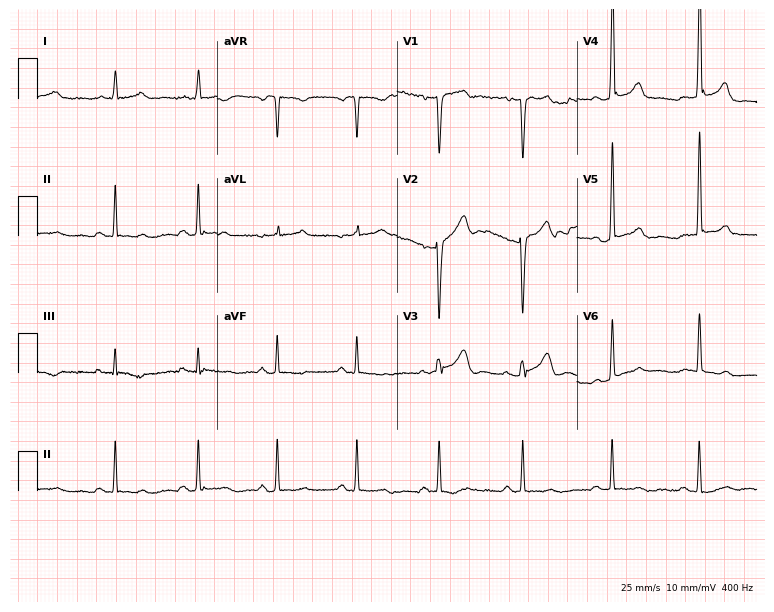
Electrocardiogram, a 33-year-old male. Of the six screened findings (first-degree AV block, right bundle branch block, left bundle branch block, sinus bradycardia, atrial fibrillation, sinus tachycardia), none is recorded. Findings outside these six are not listed.